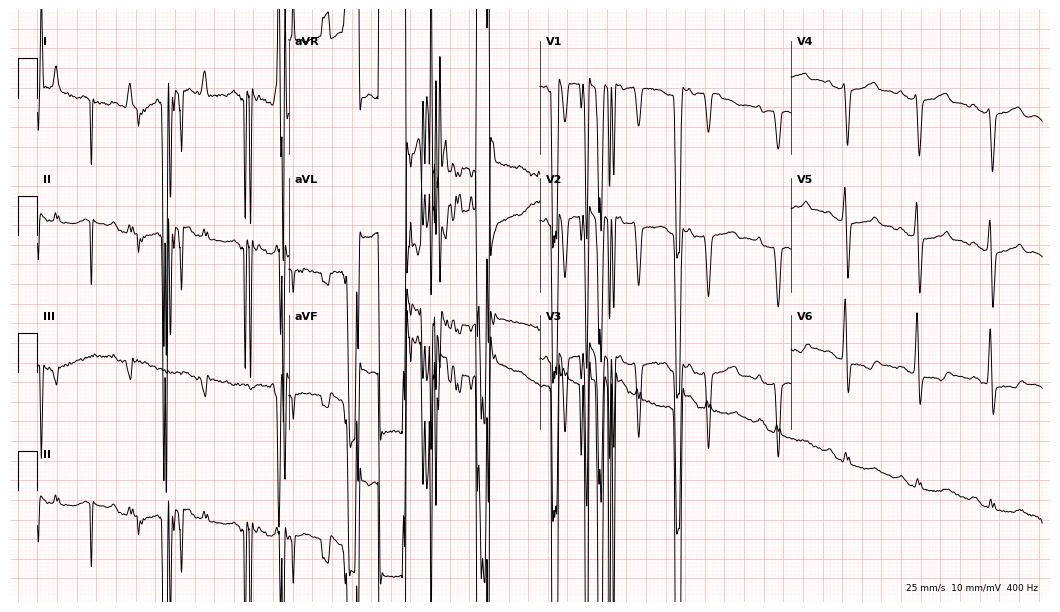
Electrocardiogram (10.2-second recording at 400 Hz), a male patient, 57 years old. Of the six screened findings (first-degree AV block, right bundle branch block, left bundle branch block, sinus bradycardia, atrial fibrillation, sinus tachycardia), none is recorded. Other findings, if any, are not listed.